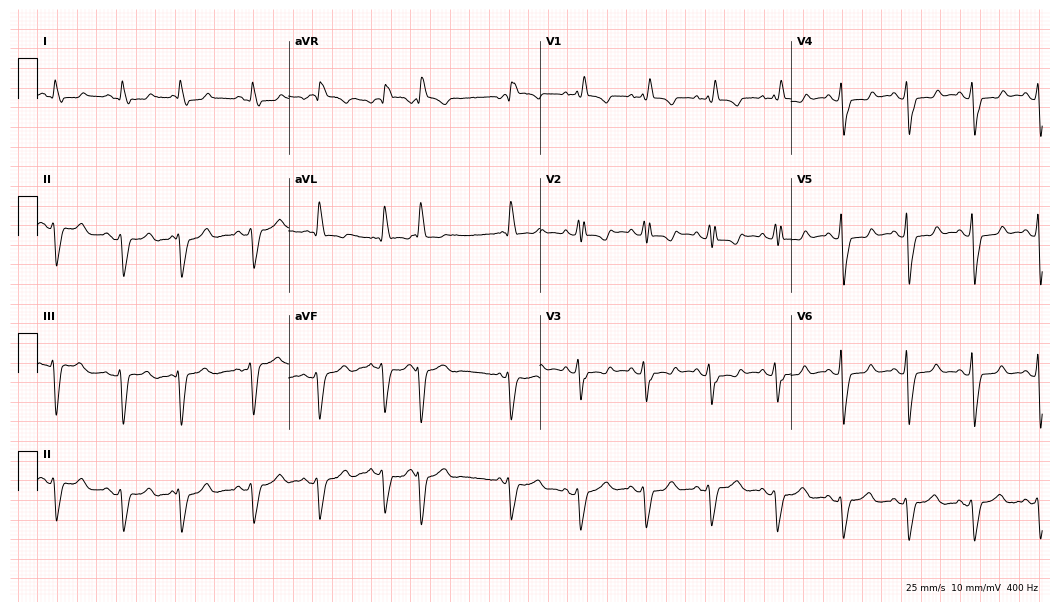
ECG (10.2-second recording at 400 Hz) — a female patient, 66 years old. Findings include right bundle branch block (RBBB).